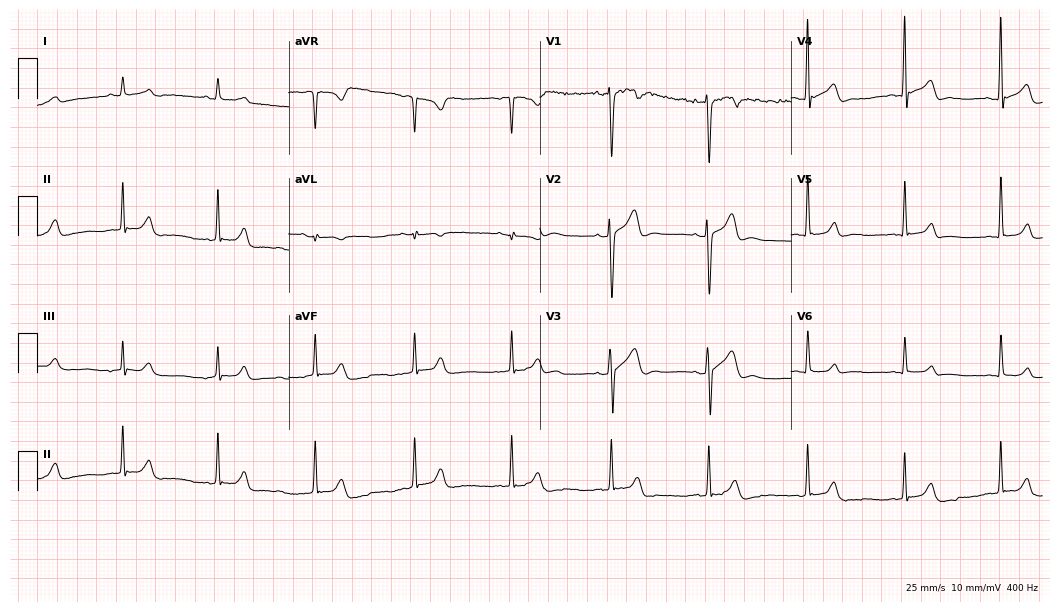
Standard 12-lead ECG recorded from a man, 24 years old (10.2-second recording at 400 Hz). Read as a normal ECG.